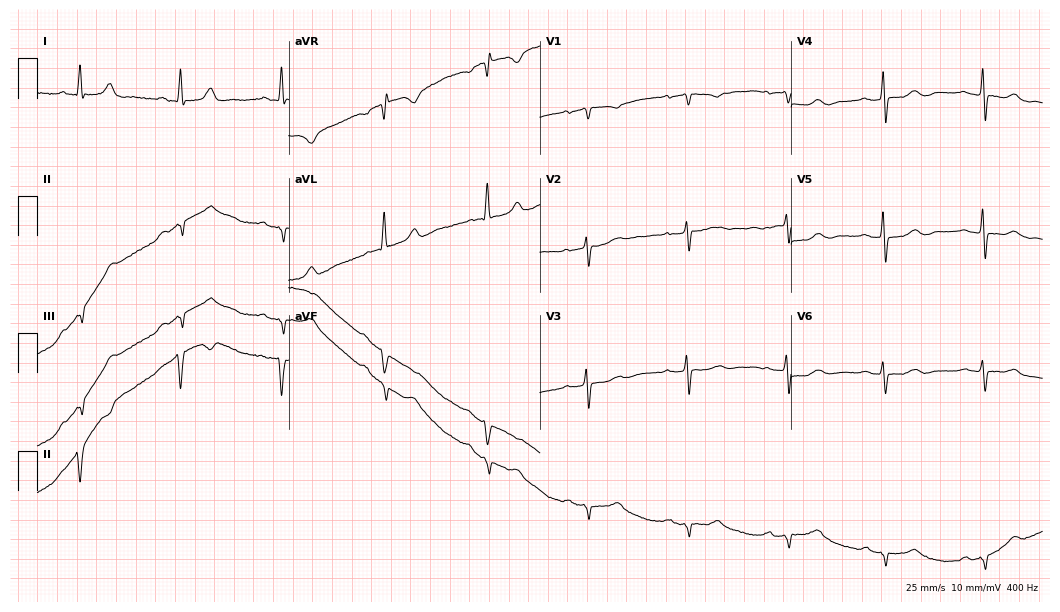
Electrocardiogram, a woman, 82 years old. Of the six screened findings (first-degree AV block, right bundle branch block, left bundle branch block, sinus bradycardia, atrial fibrillation, sinus tachycardia), none is recorded. Other findings, if any, are not listed.